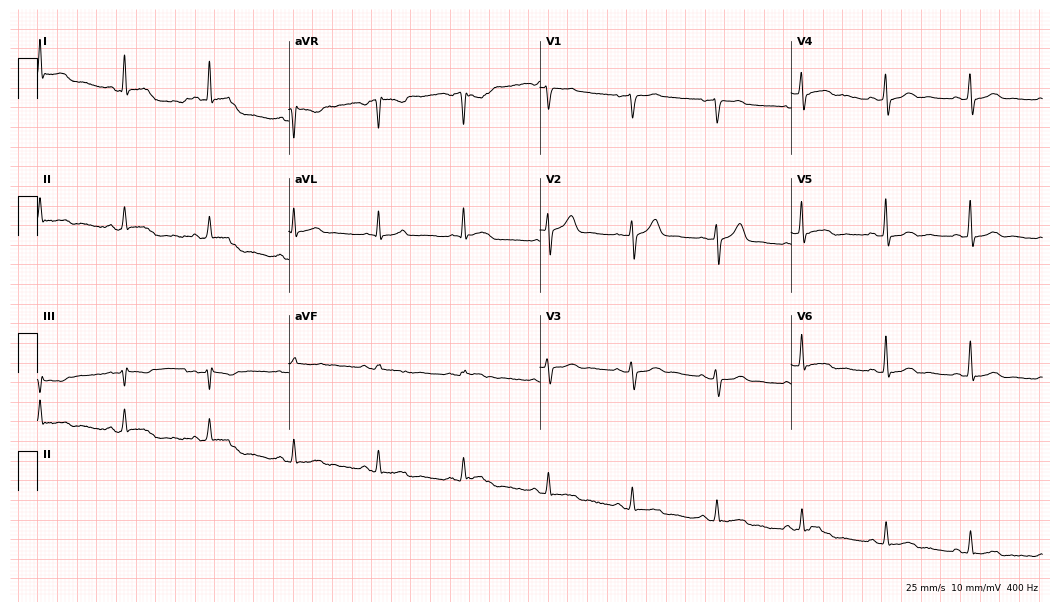
12-lead ECG from a male patient, 61 years old. No first-degree AV block, right bundle branch block, left bundle branch block, sinus bradycardia, atrial fibrillation or sinus tachycardia recorded for this tracing. Only these six findings were labelled.